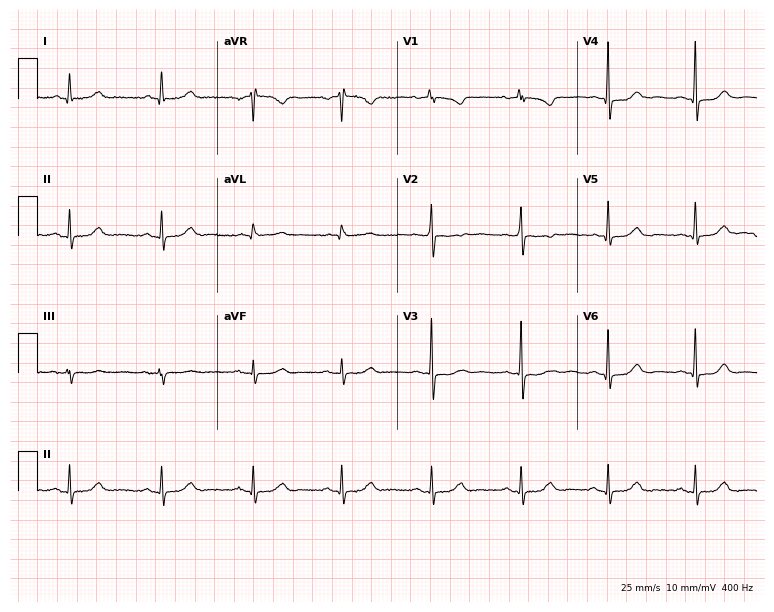
Electrocardiogram (7.3-second recording at 400 Hz), a 65-year-old female. Of the six screened findings (first-degree AV block, right bundle branch block (RBBB), left bundle branch block (LBBB), sinus bradycardia, atrial fibrillation (AF), sinus tachycardia), none is recorded.